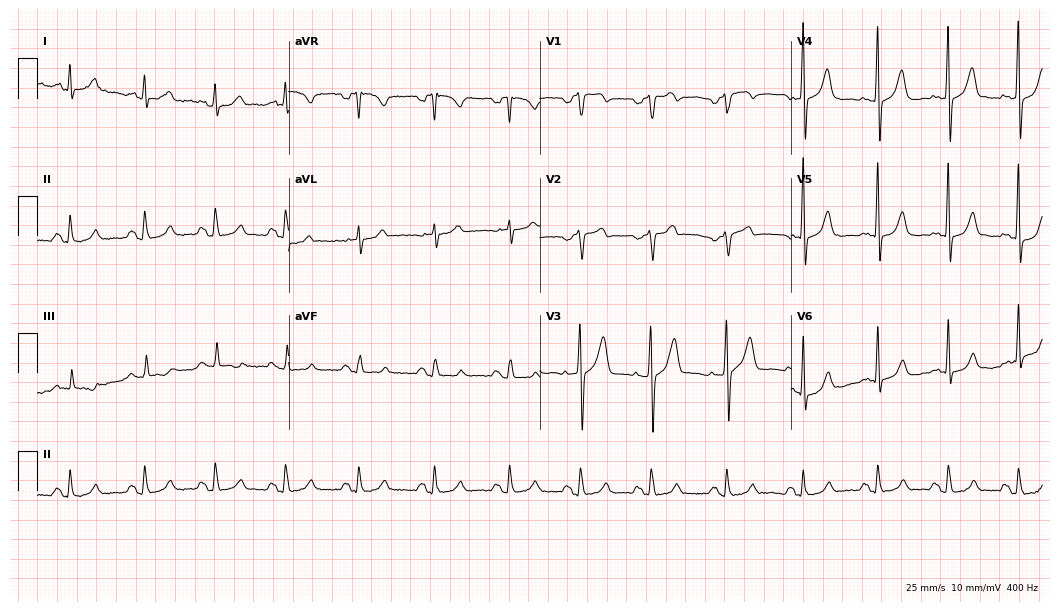
Electrocardiogram (10.2-second recording at 400 Hz), a male, 75 years old. Of the six screened findings (first-degree AV block, right bundle branch block (RBBB), left bundle branch block (LBBB), sinus bradycardia, atrial fibrillation (AF), sinus tachycardia), none is recorded. Other findings, if any, are not listed.